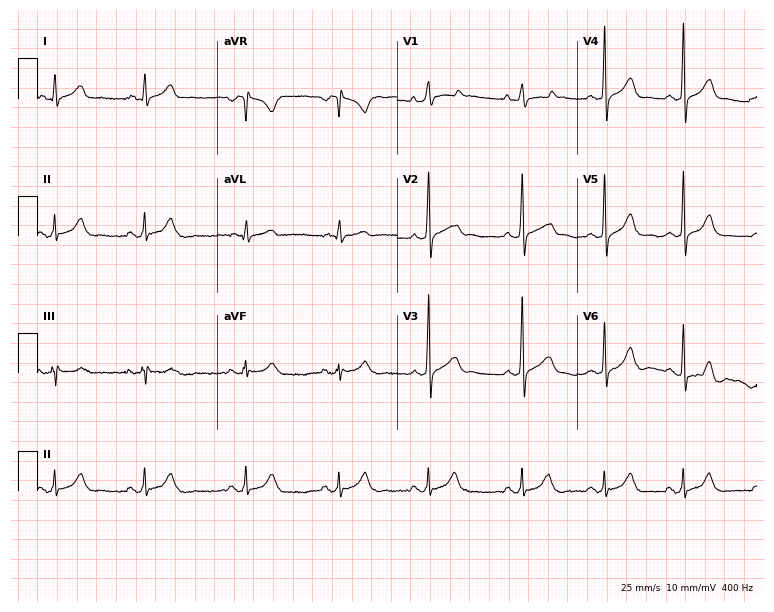
12-lead ECG from a man, 19 years old. Labelled as a normal ECG.